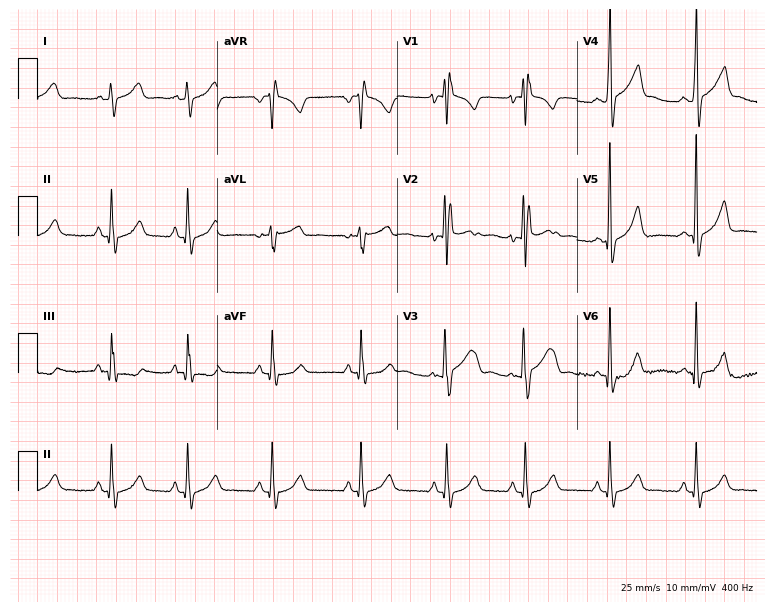
Electrocardiogram, a man, 17 years old. Of the six screened findings (first-degree AV block, right bundle branch block, left bundle branch block, sinus bradycardia, atrial fibrillation, sinus tachycardia), none is recorded. Other findings, if any, are not listed.